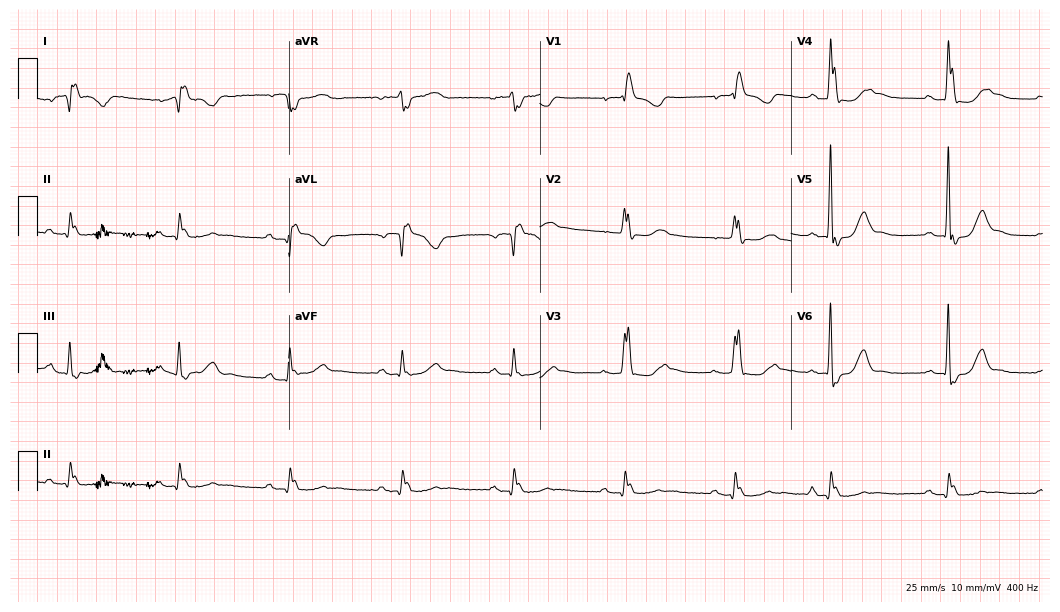
ECG — a 67-year-old male patient. Findings include first-degree AV block, right bundle branch block, atrial fibrillation.